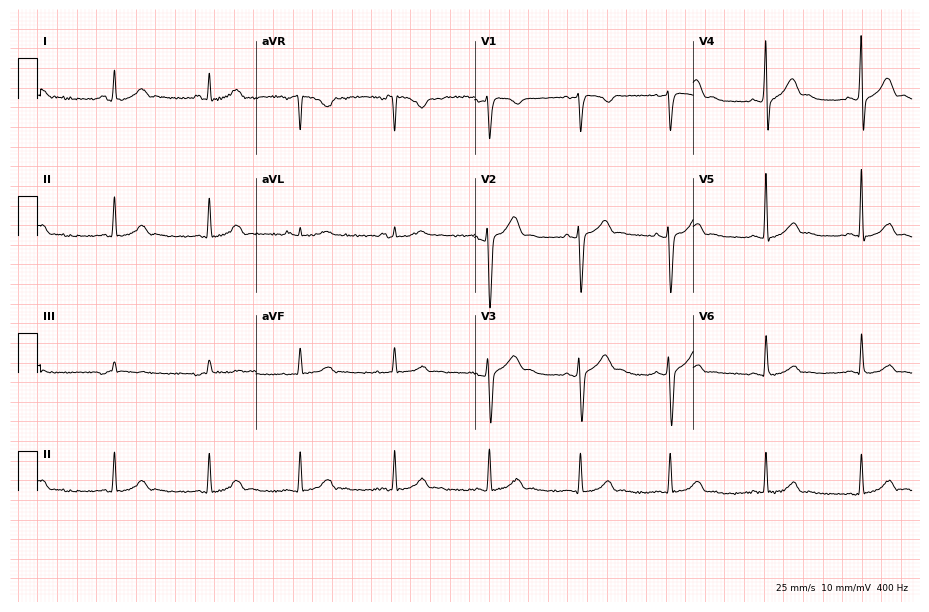
ECG — a 25-year-old man. Labelled as a normal ECG.